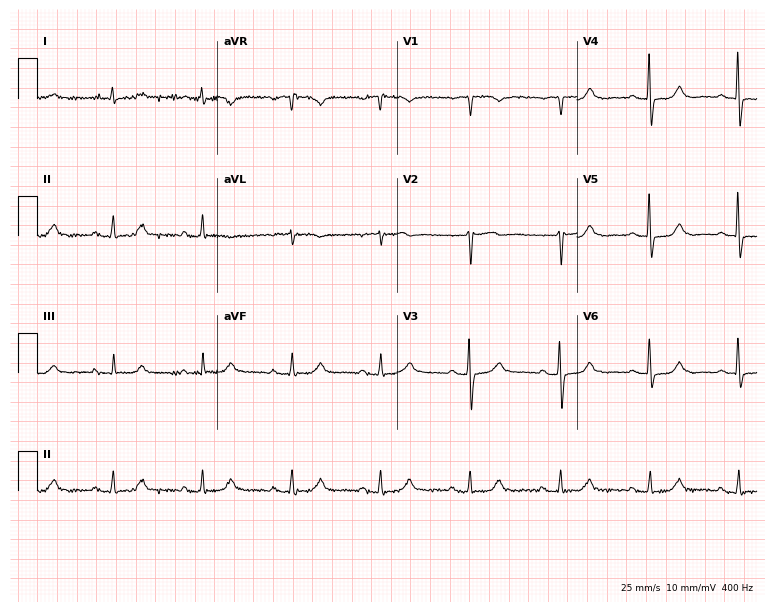
Standard 12-lead ECG recorded from a female patient, 77 years old (7.3-second recording at 400 Hz). None of these six findings is recorded: first-degree AV block, right bundle branch block (RBBB), left bundle branch block (LBBB), sinus bradycardia, atrial fibrillation (AF), sinus tachycardia. Findings outside these six are not listed.